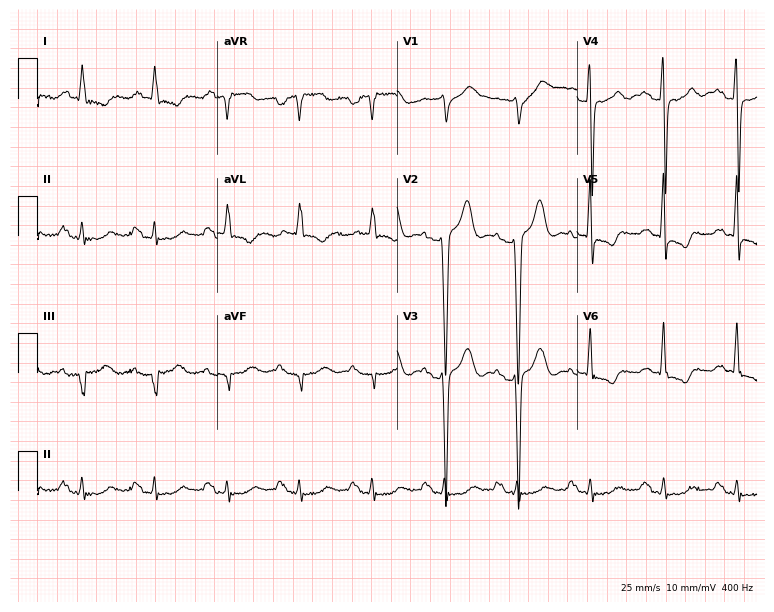
Electrocardiogram, a 49-year-old man. Of the six screened findings (first-degree AV block, right bundle branch block, left bundle branch block, sinus bradycardia, atrial fibrillation, sinus tachycardia), none is recorded.